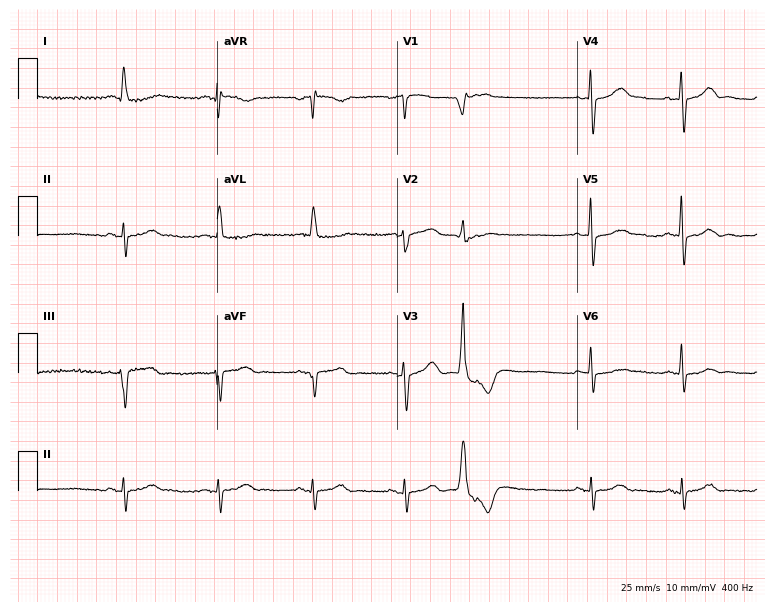
12-lead ECG from a female, 71 years old. Screened for six findings — first-degree AV block, right bundle branch block (RBBB), left bundle branch block (LBBB), sinus bradycardia, atrial fibrillation (AF), sinus tachycardia — none is recorded.